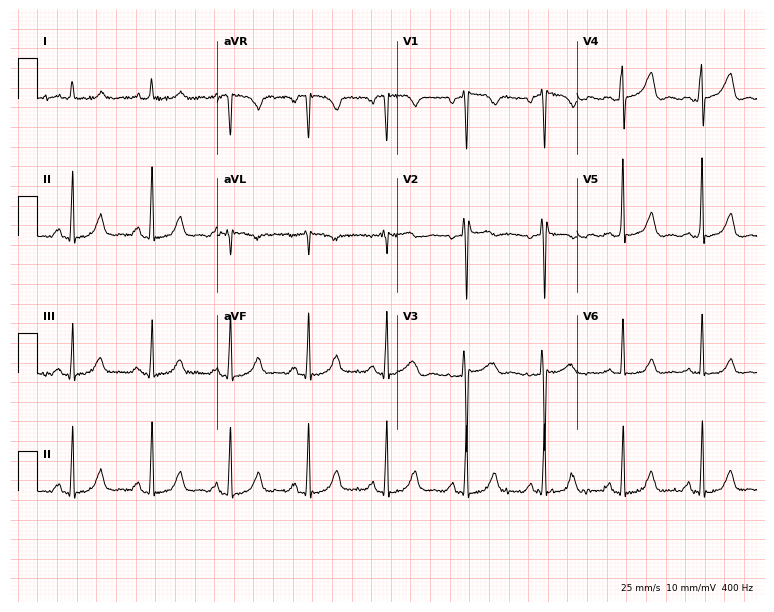
Resting 12-lead electrocardiogram (7.3-second recording at 400 Hz). Patient: a male, 61 years old. Read as a normal ECG.